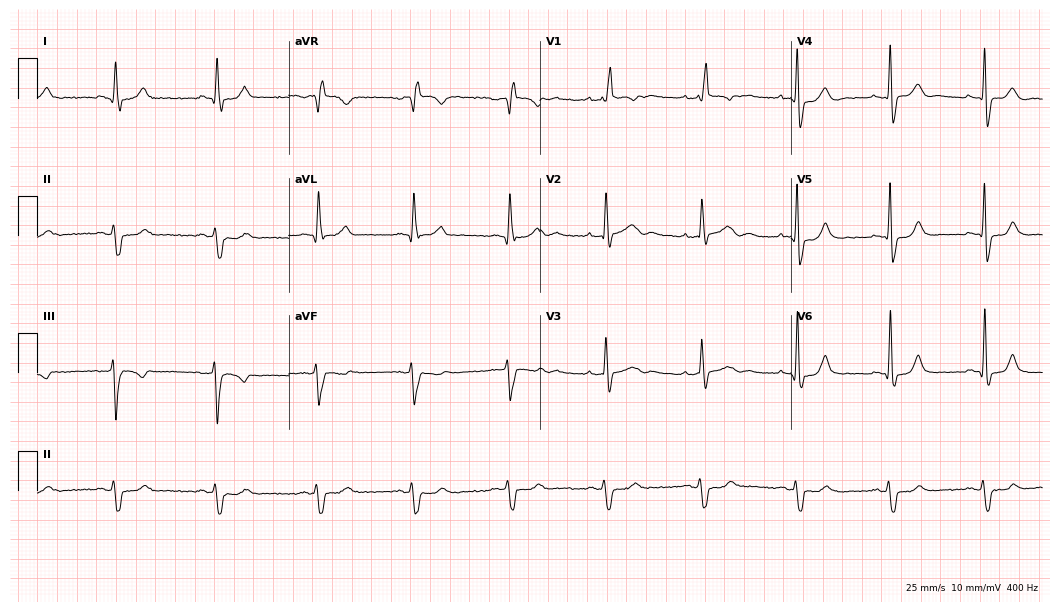
12-lead ECG from a male, 54 years old. Shows right bundle branch block (RBBB).